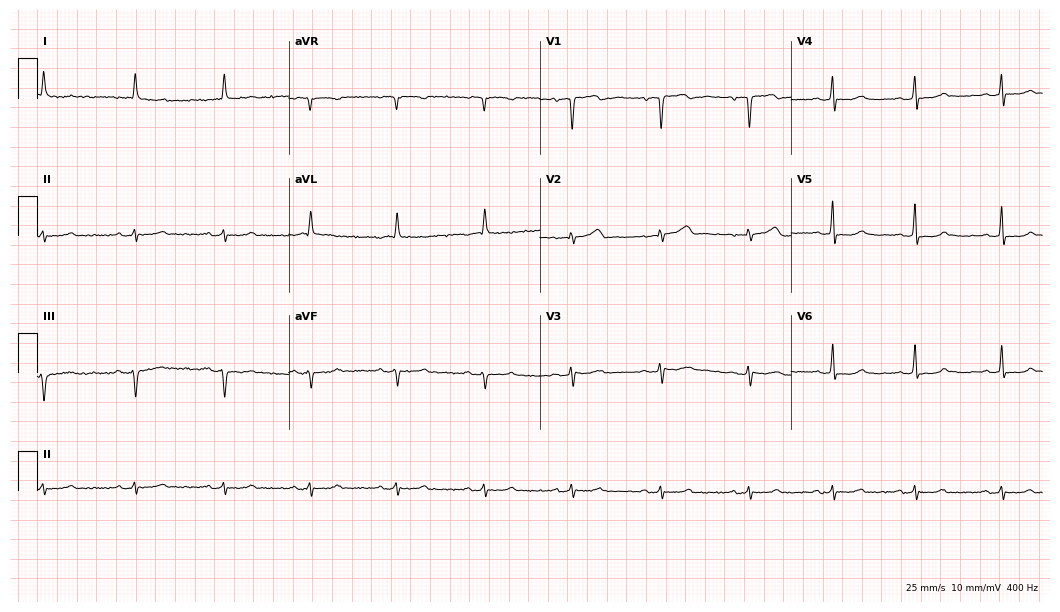
ECG (10.2-second recording at 400 Hz) — a 70-year-old female patient. Screened for six findings — first-degree AV block, right bundle branch block (RBBB), left bundle branch block (LBBB), sinus bradycardia, atrial fibrillation (AF), sinus tachycardia — none is recorded. Findings outside these six are not listed.